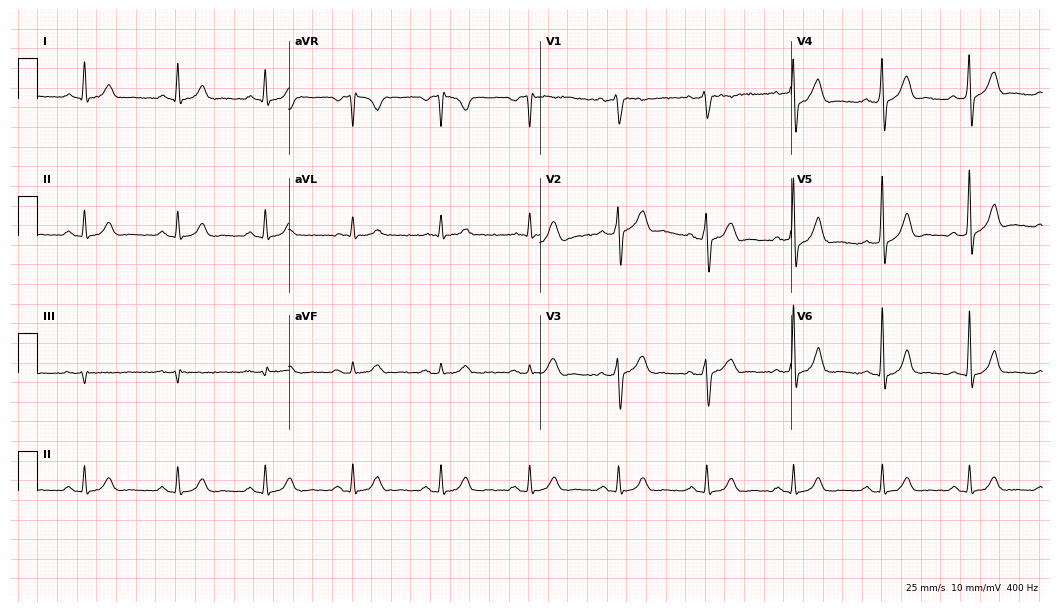
12-lead ECG from a 49-year-old male (10.2-second recording at 400 Hz). Recorded interpretation: within normal limits.